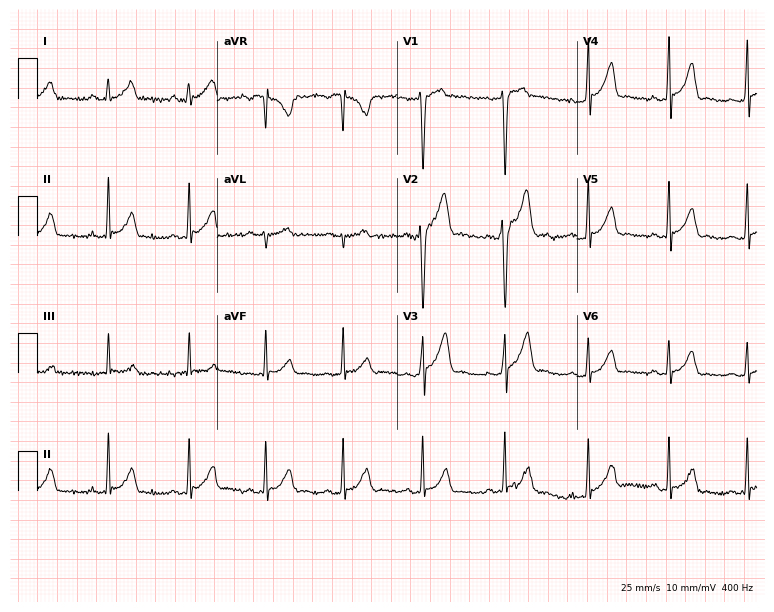
ECG (7.3-second recording at 400 Hz) — a 23-year-old man. Screened for six findings — first-degree AV block, right bundle branch block, left bundle branch block, sinus bradycardia, atrial fibrillation, sinus tachycardia — none is recorded. Findings outside these six are not listed.